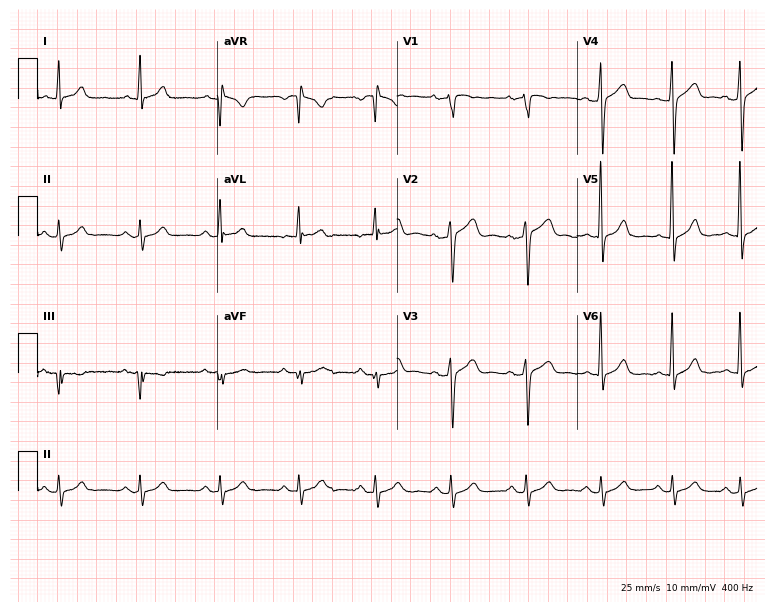
Electrocardiogram, a 53-year-old male patient. Of the six screened findings (first-degree AV block, right bundle branch block (RBBB), left bundle branch block (LBBB), sinus bradycardia, atrial fibrillation (AF), sinus tachycardia), none is recorded. Only these six findings were labelled.